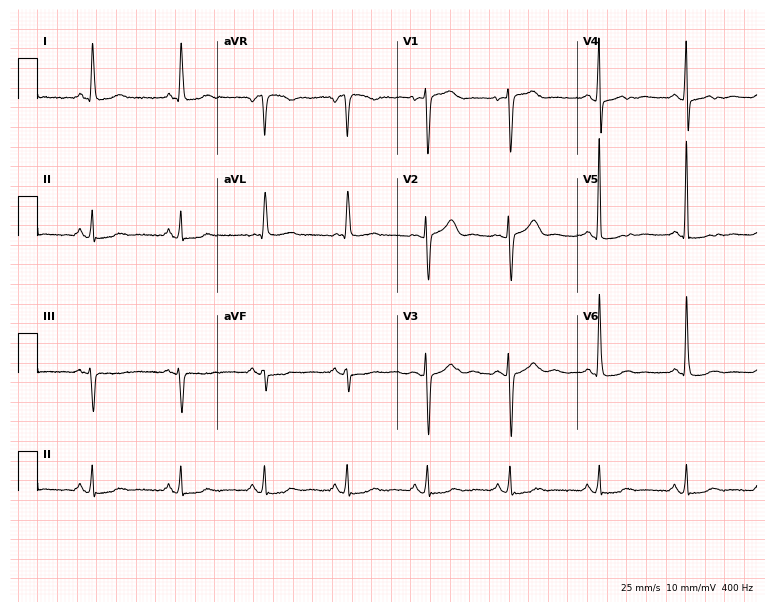
Standard 12-lead ECG recorded from an 85-year-old female (7.3-second recording at 400 Hz). None of these six findings is recorded: first-degree AV block, right bundle branch block (RBBB), left bundle branch block (LBBB), sinus bradycardia, atrial fibrillation (AF), sinus tachycardia. Only these six findings were labelled.